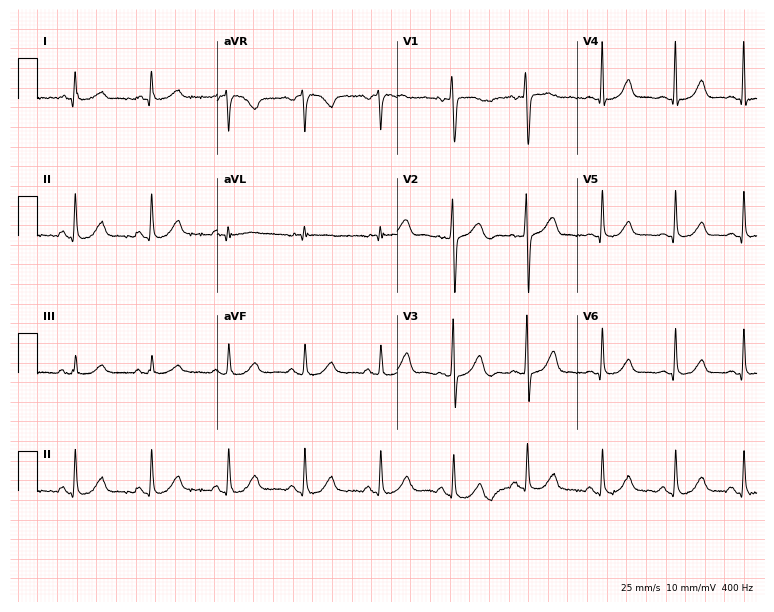
Electrocardiogram (7.3-second recording at 400 Hz), a 49-year-old female patient. Of the six screened findings (first-degree AV block, right bundle branch block (RBBB), left bundle branch block (LBBB), sinus bradycardia, atrial fibrillation (AF), sinus tachycardia), none is recorded.